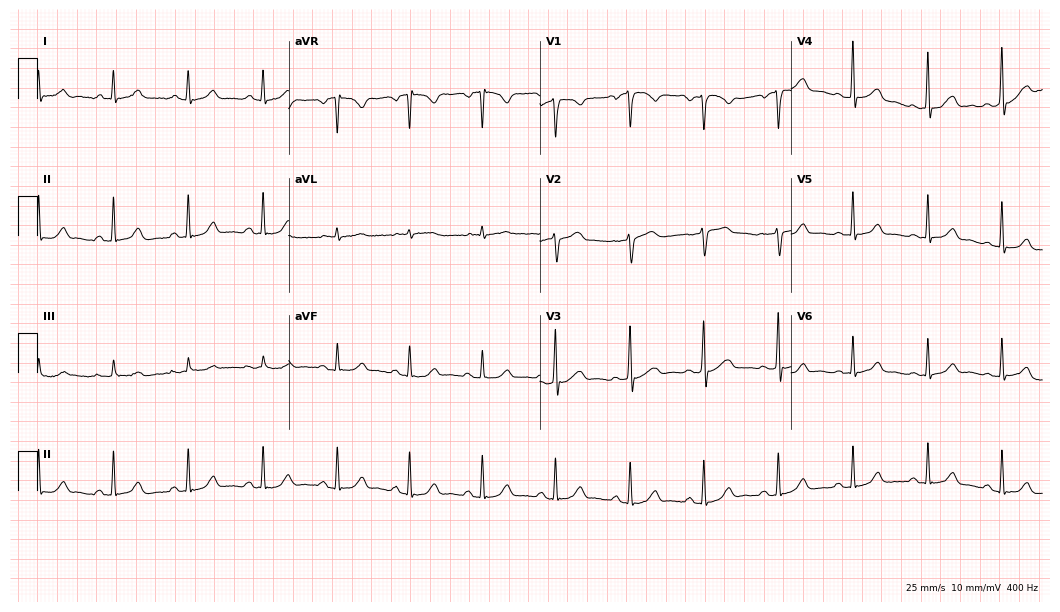
12-lead ECG from a male patient, 74 years old. Labelled as a normal ECG.